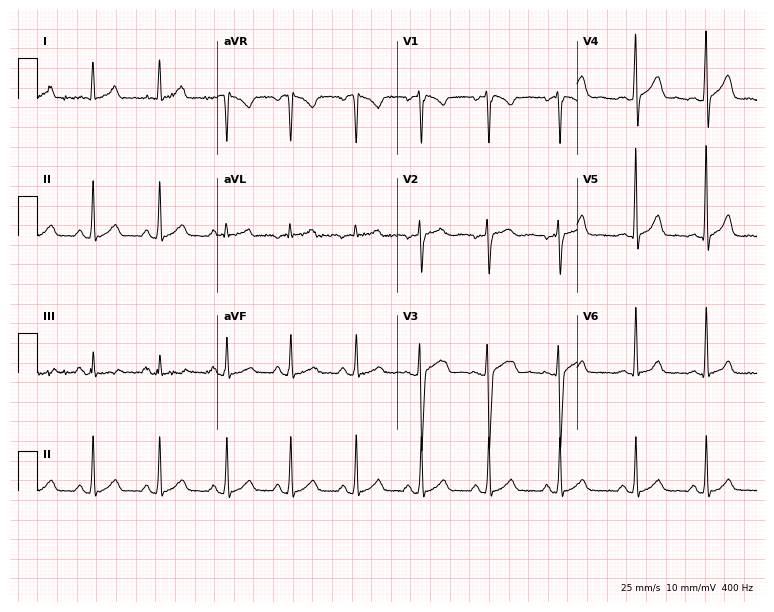
12-lead ECG from a female patient, 31 years old. Recorded interpretation: within normal limits.